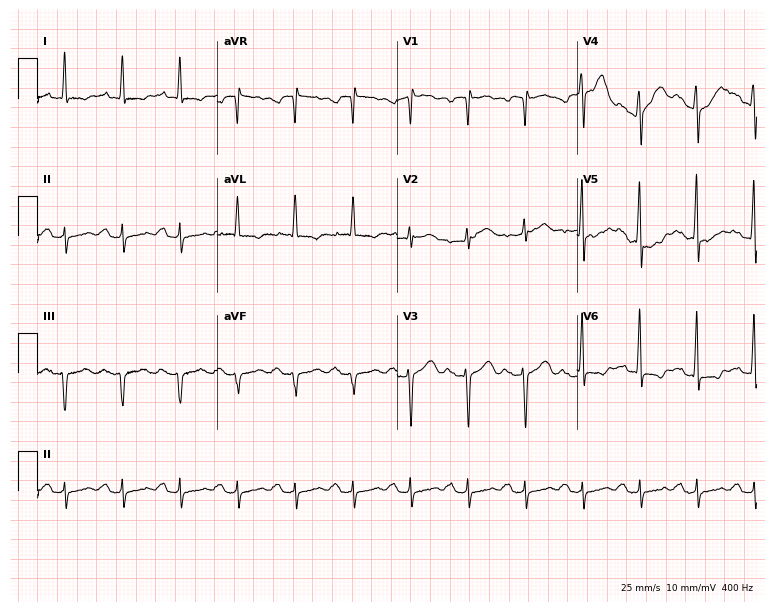
Standard 12-lead ECG recorded from a male, 67 years old (7.3-second recording at 400 Hz). The tracing shows sinus tachycardia (a sinus rate of 100 beats per minute or more).